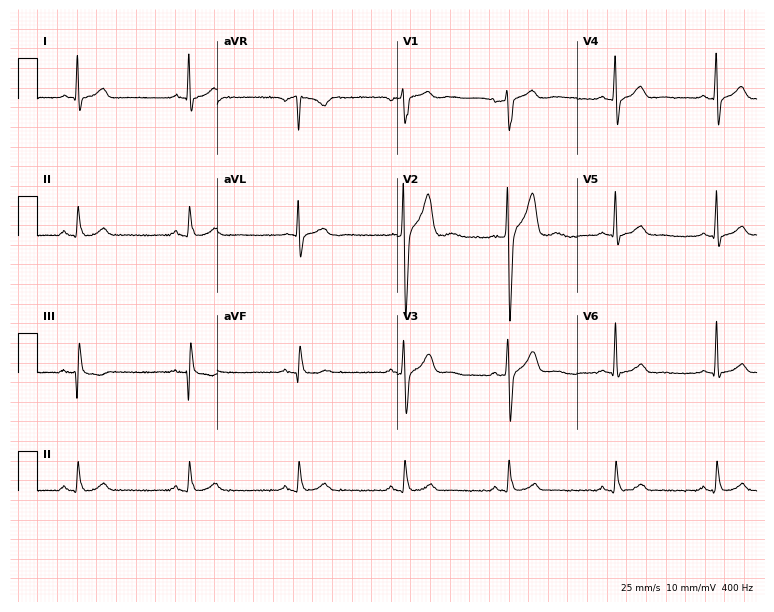
12-lead ECG (7.3-second recording at 400 Hz) from a male, 56 years old. Screened for six findings — first-degree AV block, right bundle branch block, left bundle branch block, sinus bradycardia, atrial fibrillation, sinus tachycardia — none is recorded. Other findings, if any, are not listed.